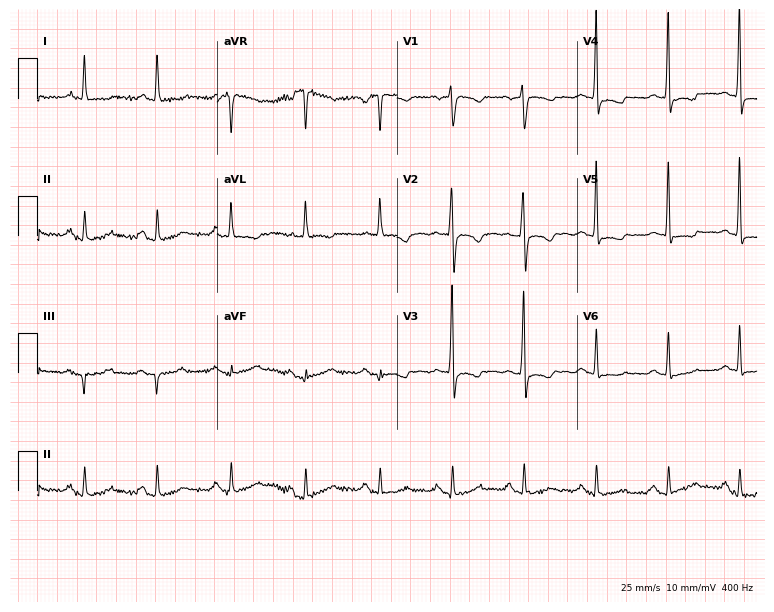
Electrocardiogram (7.3-second recording at 400 Hz), a woman, 64 years old. Of the six screened findings (first-degree AV block, right bundle branch block, left bundle branch block, sinus bradycardia, atrial fibrillation, sinus tachycardia), none is recorded.